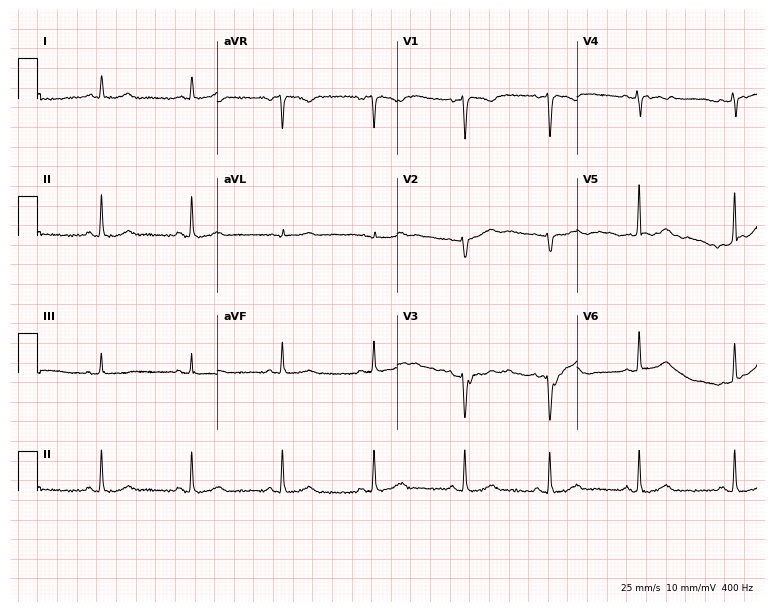
12-lead ECG (7.3-second recording at 400 Hz) from a 36-year-old female. Screened for six findings — first-degree AV block, right bundle branch block, left bundle branch block, sinus bradycardia, atrial fibrillation, sinus tachycardia — none is recorded. Other findings, if any, are not listed.